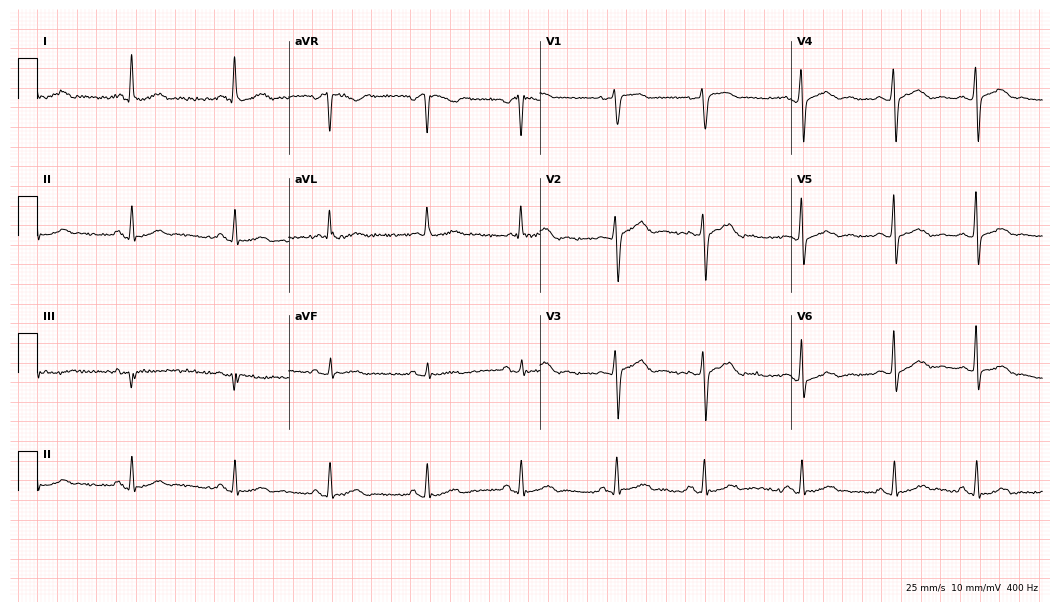
ECG (10.2-second recording at 400 Hz) — a female, 51 years old. Labelled as a normal ECG.